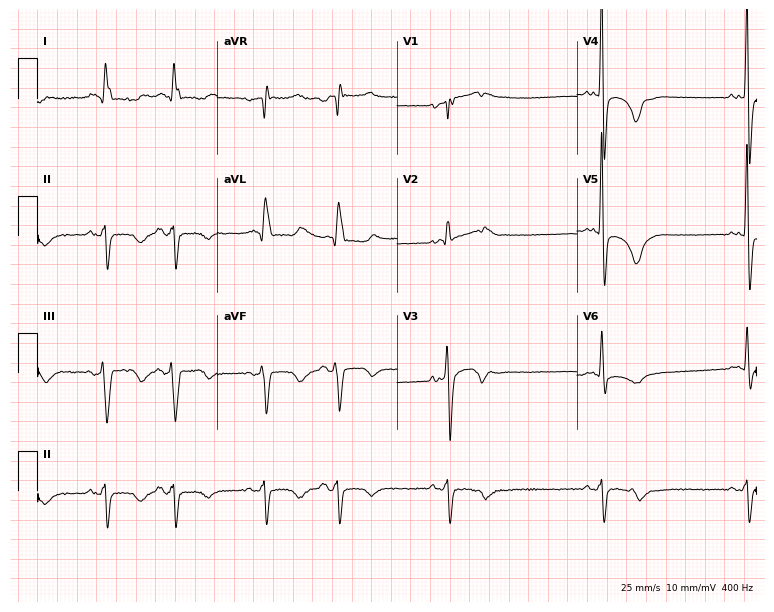
Resting 12-lead electrocardiogram. Patient: a male, 65 years old. None of these six findings is recorded: first-degree AV block, right bundle branch block, left bundle branch block, sinus bradycardia, atrial fibrillation, sinus tachycardia. Other findings, if any, are not listed.